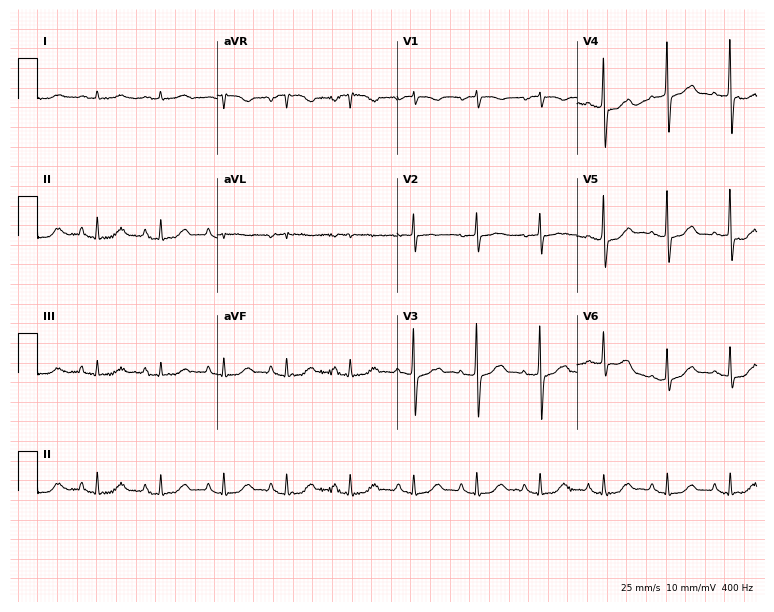
Standard 12-lead ECG recorded from a male patient, 83 years old. None of these six findings is recorded: first-degree AV block, right bundle branch block (RBBB), left bundle branch block (LBBB), sinus bradycardia, atrial fibrillation (AF), sinus tachycardia.